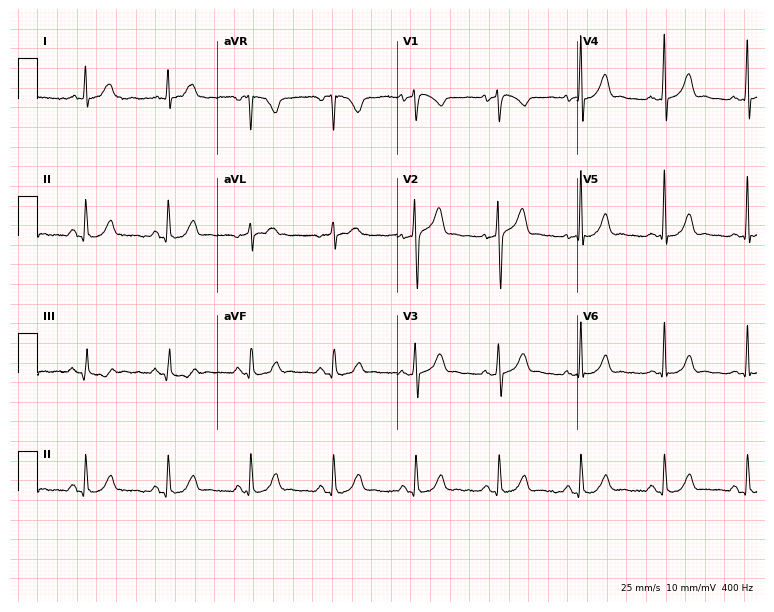
12-lead ECG from a 53-year-old male. Labelled as a normal ECG.